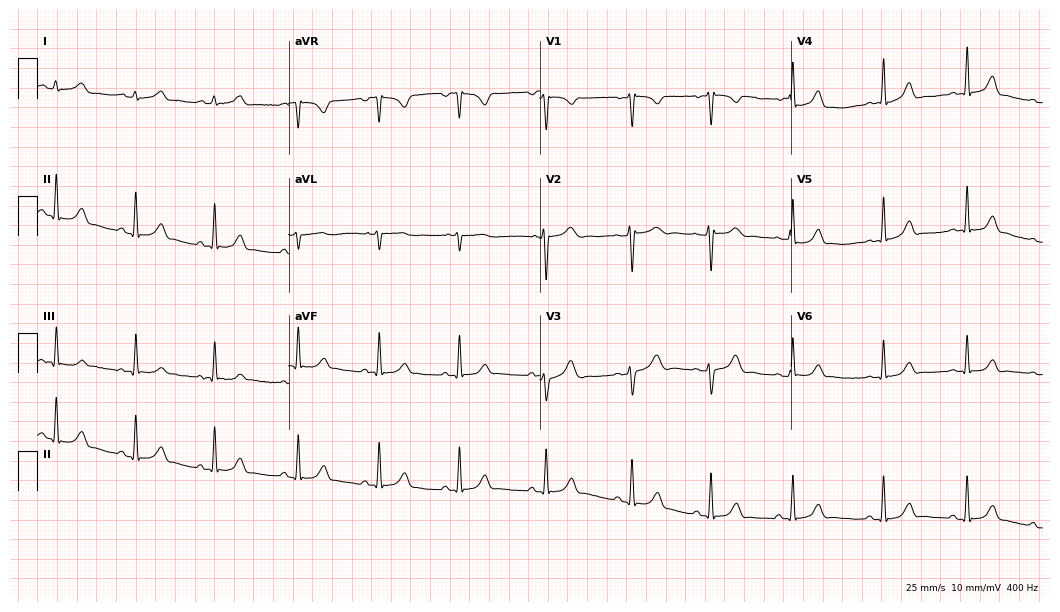
12-lead ECG from a female patient, 19 years old. Labelled as a normal ECG.